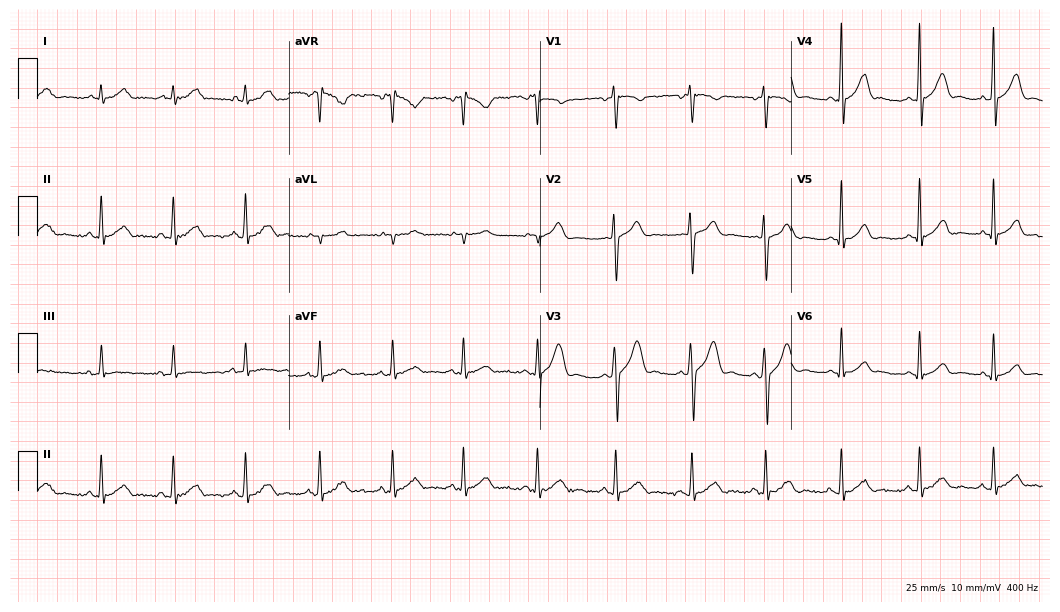
Electrocardiogram, a man, 29 years old. Of the six screened findings (first-degree AV block, right bundle branch block, left bundle branch block, sinus bradycardia, atrial fibrillation, sinus tachycardia), none is recorded. Other findings, if any, are not listed.